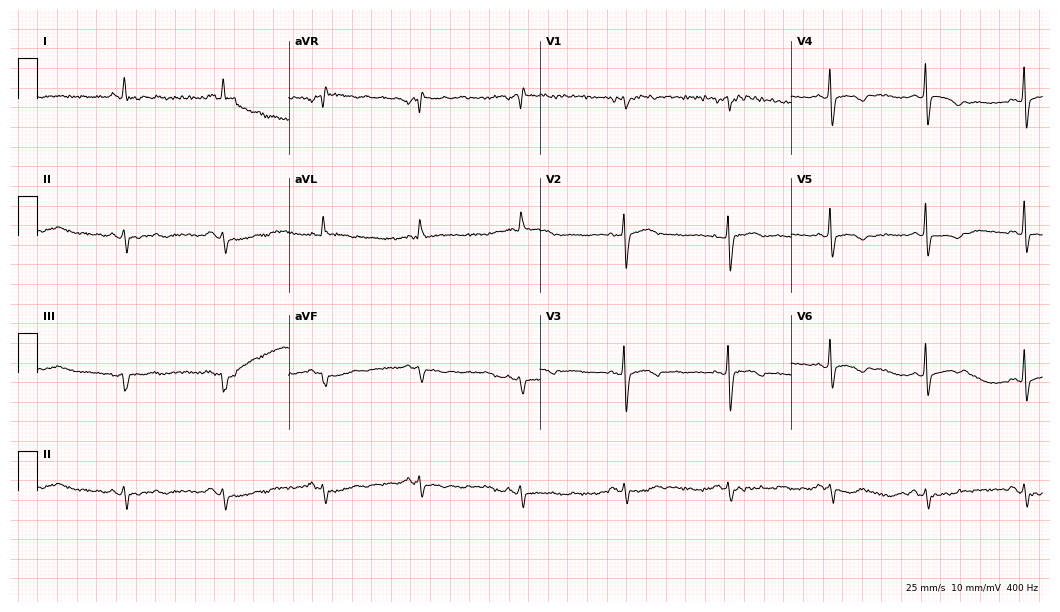
ECG — a 69-year-old female. Screened for six findings — first-degree AV block, right bundle branch block, left bundle branch block, sinus bradycardia, atrial fibrillation, sinus tachycardia — none is recorded.